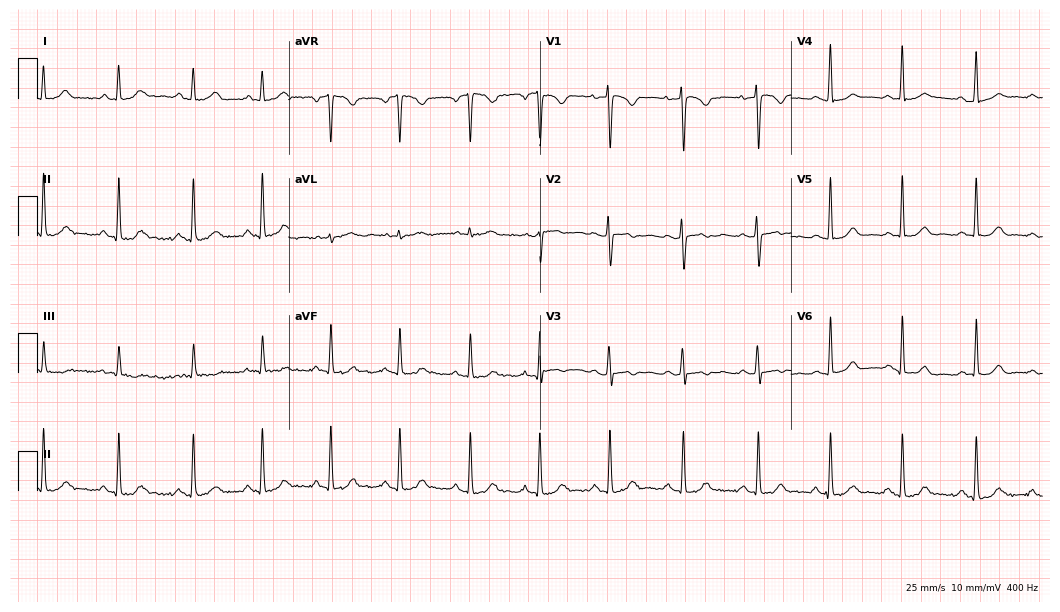
ECG (10.2-second recording at 400 Hz) — a woman, 18 years old. Screened for six findings — first-degree AV block, right bundle branch block (RBBB), left bundle branch block (LBBB), sinus bradycardia, atrial fibrillation (AF), sinus tachycardia — none is recorded. Findings outside these six are not listed.